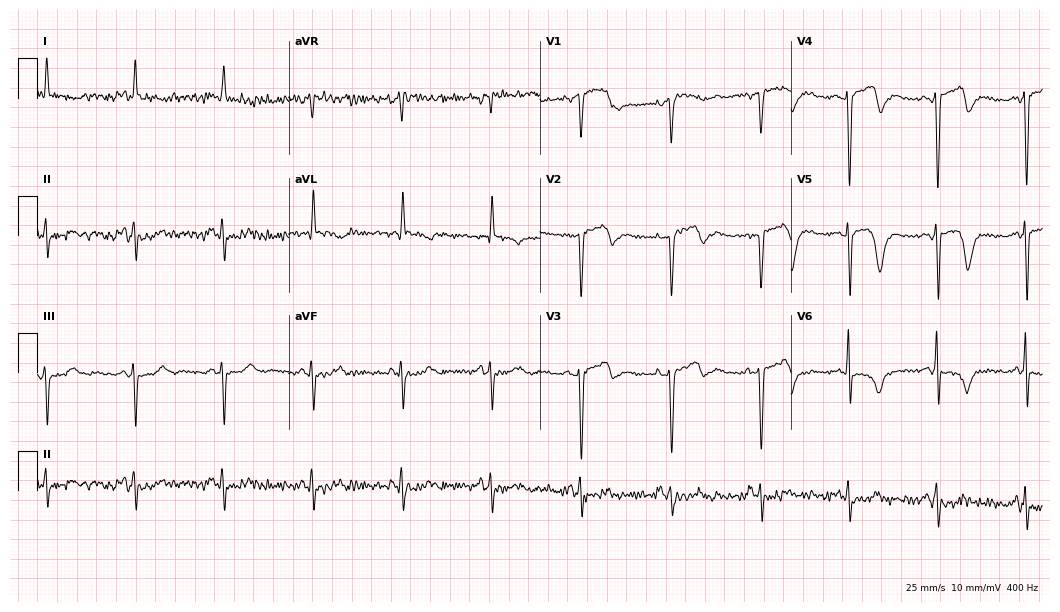
Electrocardiogram (10.2-second recording at 400 Hz), a 70-year-old male patient. Of the six screened findings (first-degree AV block, right bundle branch block (RBBB), left bundle branch block (LBBB), sinus bradycardia, atrial fibrillation (AF), sinus tachycardia), none is recorded.